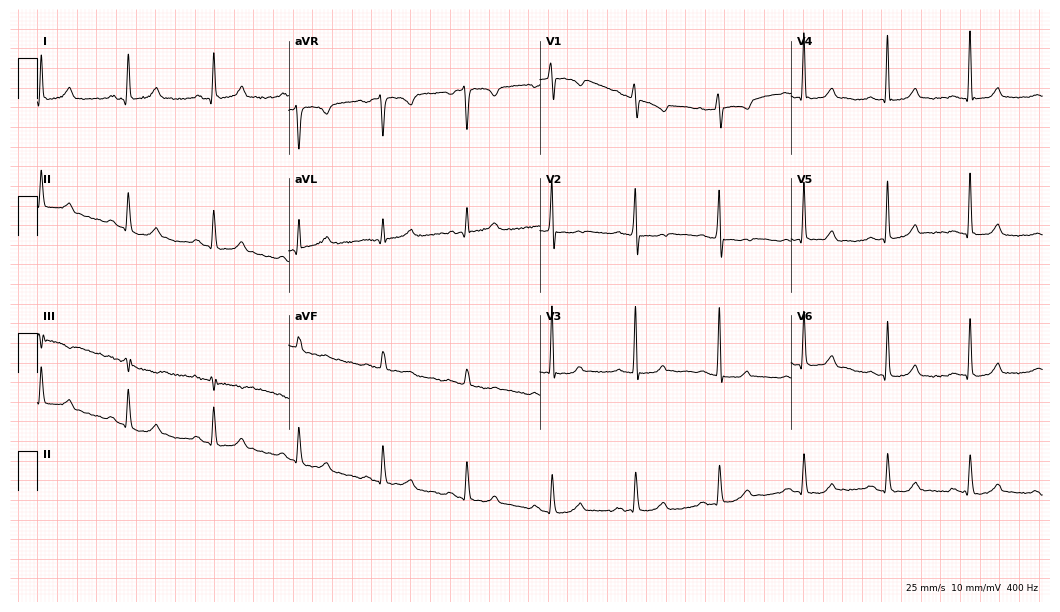
ECG (10.2-second recording at 400 Hz) — a female patient, 60 years old. Labelled as a normal ECG.